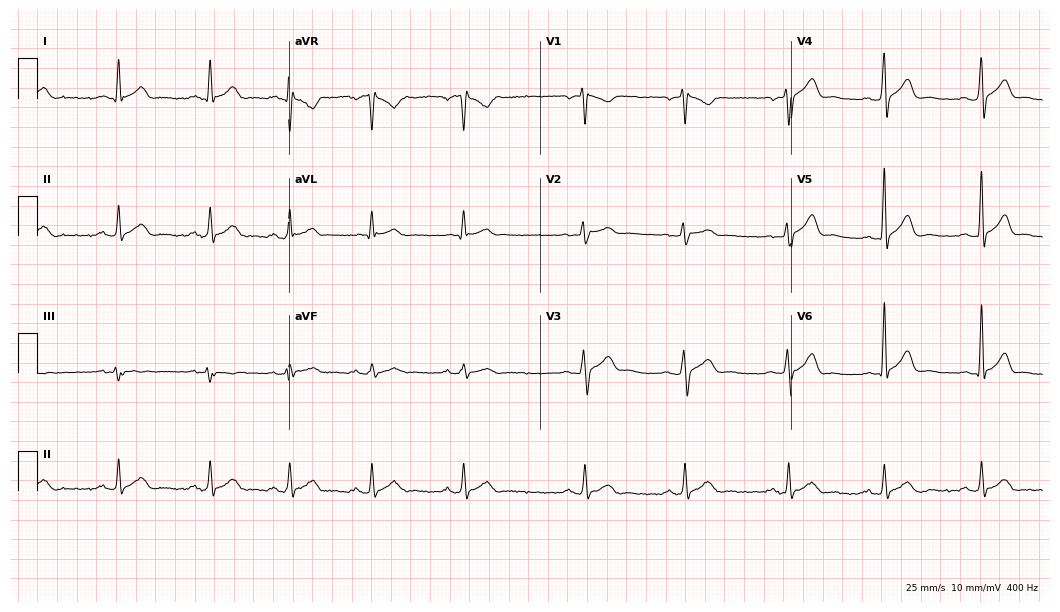
Standard 12-lead ECG recorded from a man, 39 years old. None of these six findings is recorded: first-degree AV block, right bundle branch block, left bundle branch block, sinus bradycardia, atrial fibrillation, sinus tachycardia. Only these six findings were labelled.